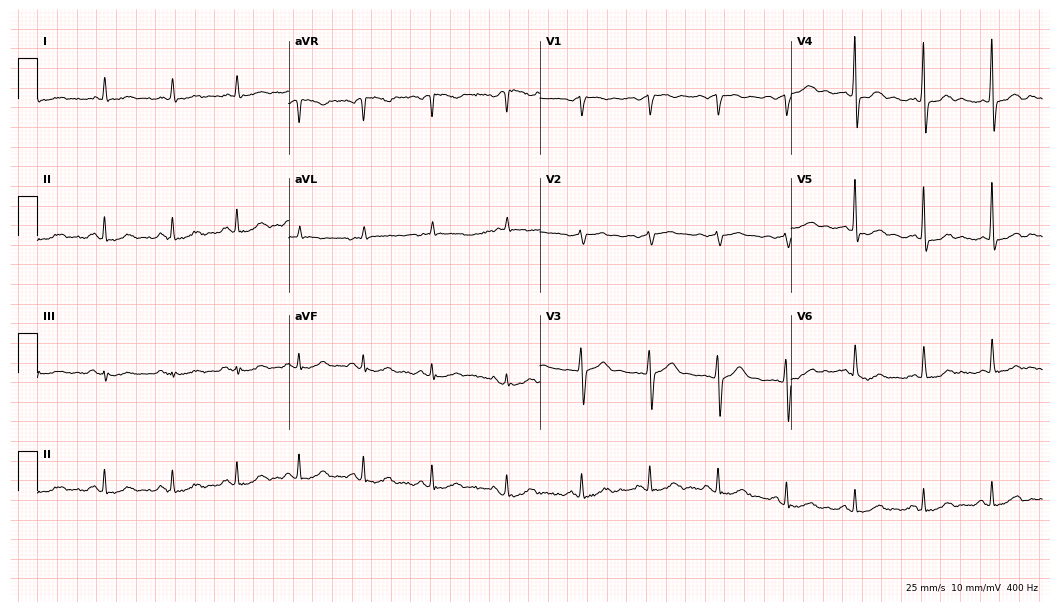
ECG — a 58-year-old male. Screened for six findings — first-degree AV block, right bundle branch block, left bundle branch block, sinus bradycardia, atrial fibrillation, sinus tachycardia — none is recorded.